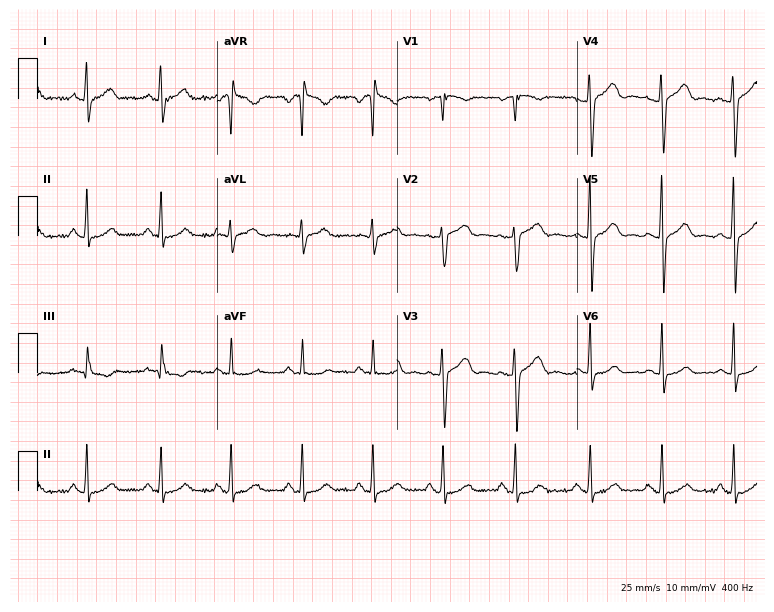
12-lead ECG from a 31-year-old female. Labelled as a normal ECG.